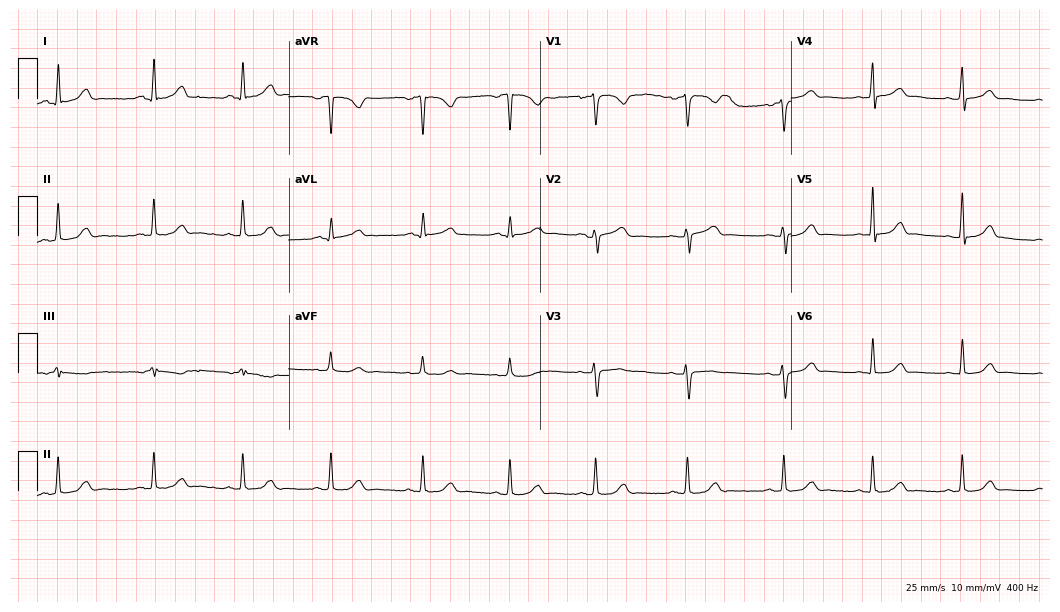
12-lead ECG from a female patient, 28 years old. Labelled as a normal ECG.